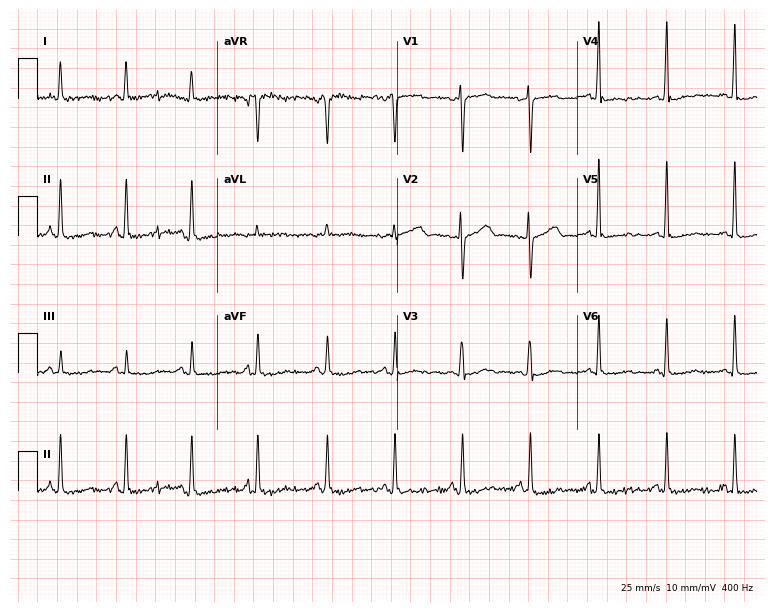
ECG (7.3-second recording at 400 Hz) — a female patient, 52 years old. Screened for six findings — first-degree AV block, right bundle branch block (RBBB), left bundle branch block (LBBB), sinus bradycardia, atrial fibrillation (AF), sinus tachycardia — none is recorded.